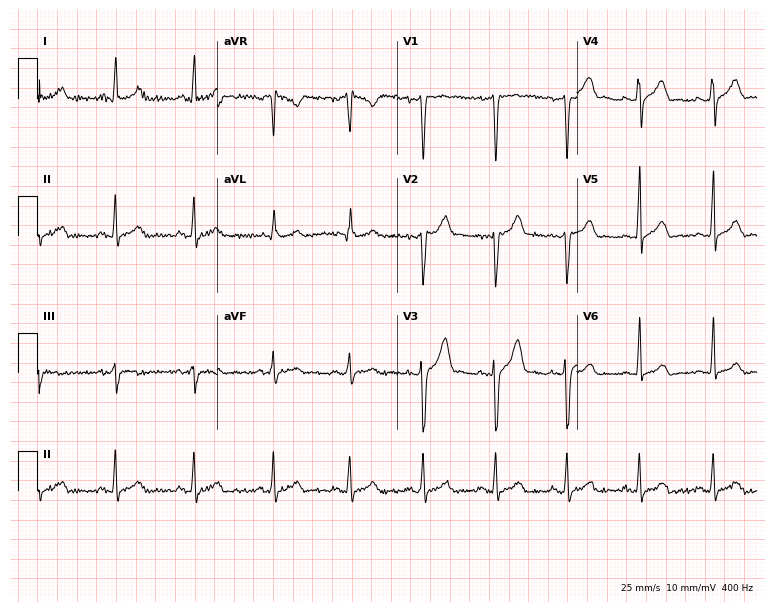
12-lead ECG from a 36-year-old male patient. Recorded interpretation: within normal limits.